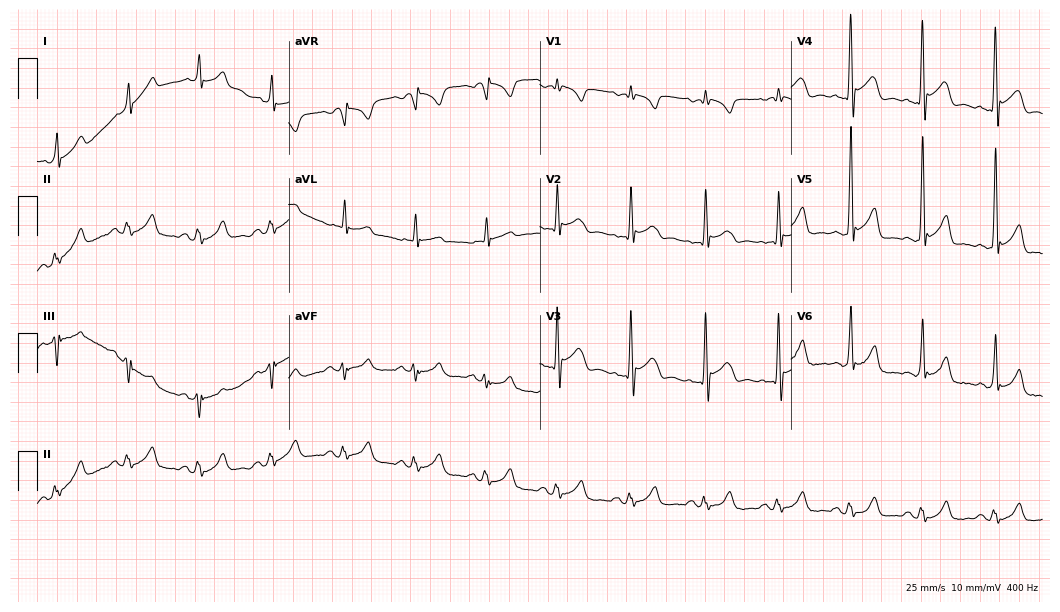
12-lead ECG (10.2-second recording at 400 Hz) from a 45-year-old male. Screened for six findings — first-degree AV block, right bundle branch block, left bundle branch block, sinus bradycardia, atrial fibrillation, sinus tachycardia — none is recorded.